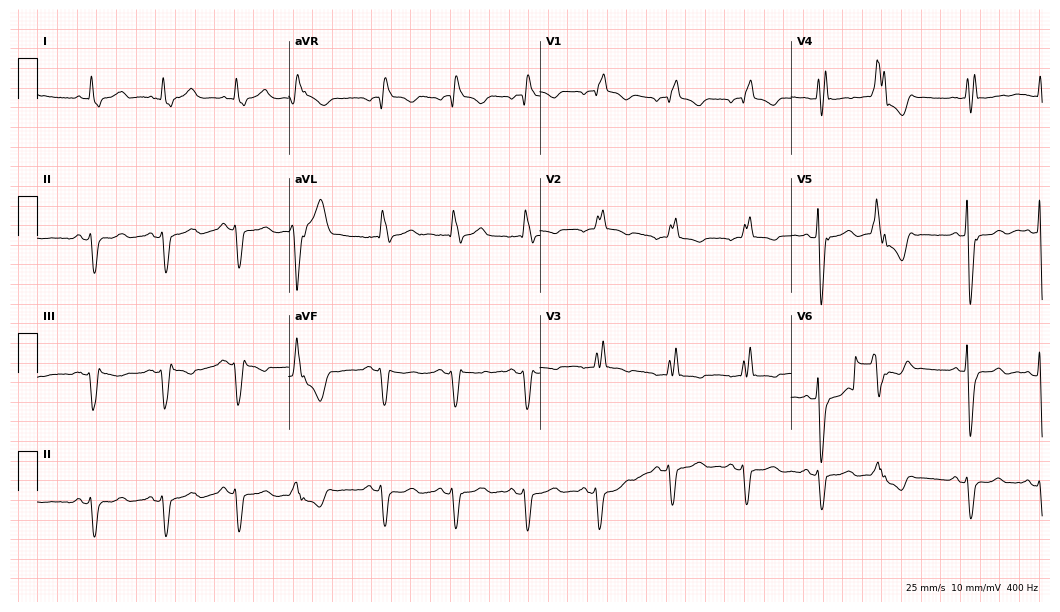
Resting 12-lead electrocardiogram. Patient: a 77-year-old female. None of these six findings is recorded: first-degree AV block, right bundle branch block, left bundle branch block, sinus bradycardia, atrial fibrillation, sinus tachycardia. Findings outside these six are not listed.